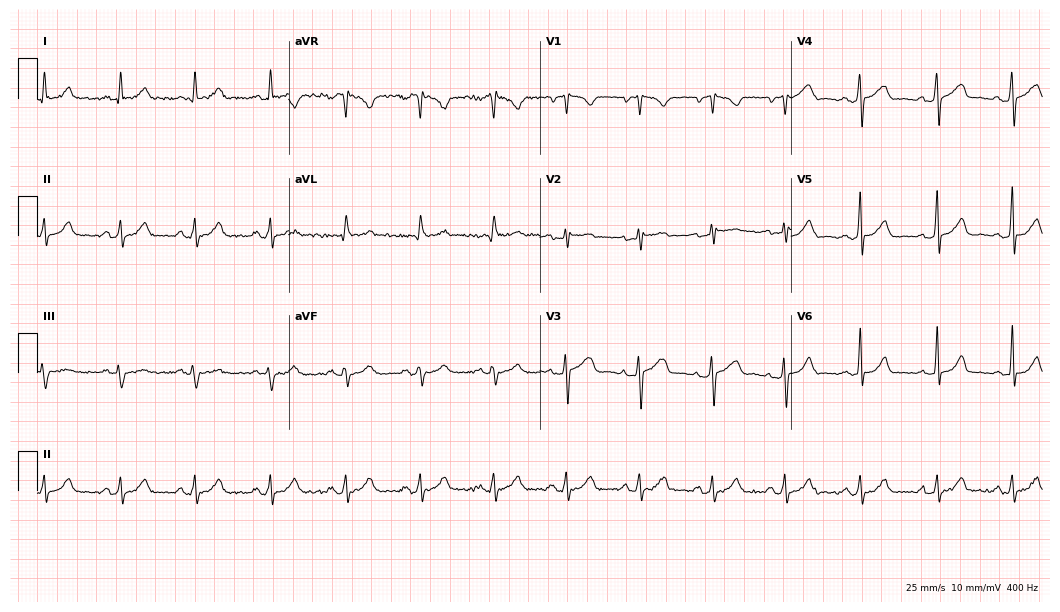
12-lead ECG from a woman, 18 years old (10.2-second recording at 400 Hz). Recorded interpretation: within normal limits.